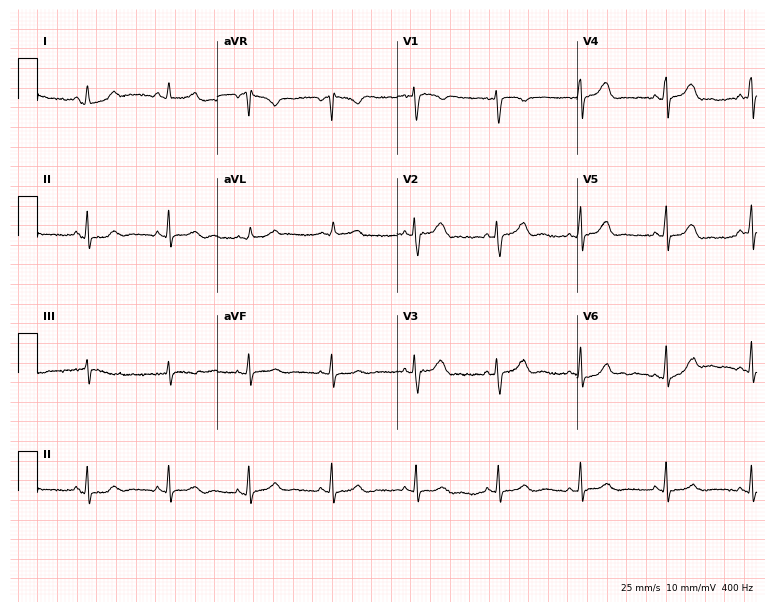
12-lead ECG (7.3-second recording at 400 Hz) from a 50-year-old woman. Screened for six findings — first-degree AV block, right bundle branch block (RBBB), left bundle branch block (LBBB), sinus bradycardia, atrial fibrillation (AF), sinus tachycardia — none is recorded.